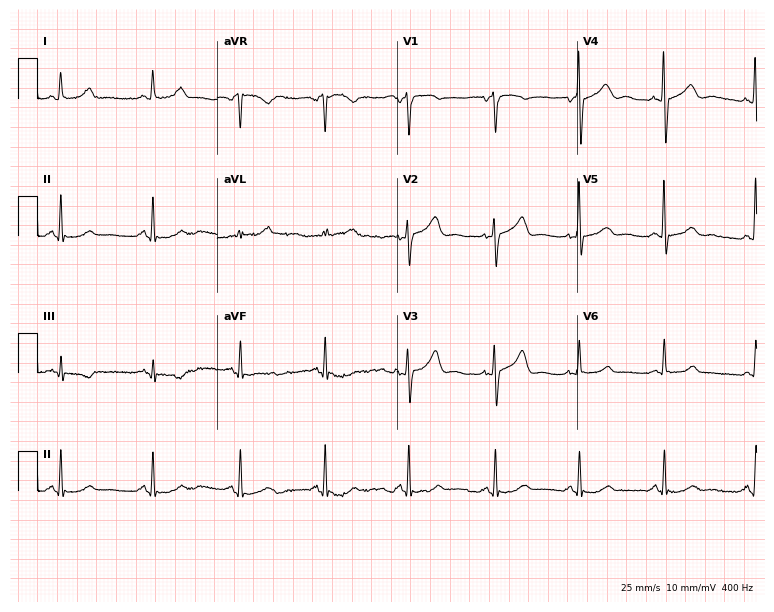
Resting 12-lead electrocardiogram (7.3-second recording at 400 Hz). Patient: a 66-year-old female. None of these six findings is recorded: first-degree AV block, right bundle branch block, left bundle branch block, sinus bradycardia, atrial fibrillation, sinus tachycardia. Only these six findings were labelled.